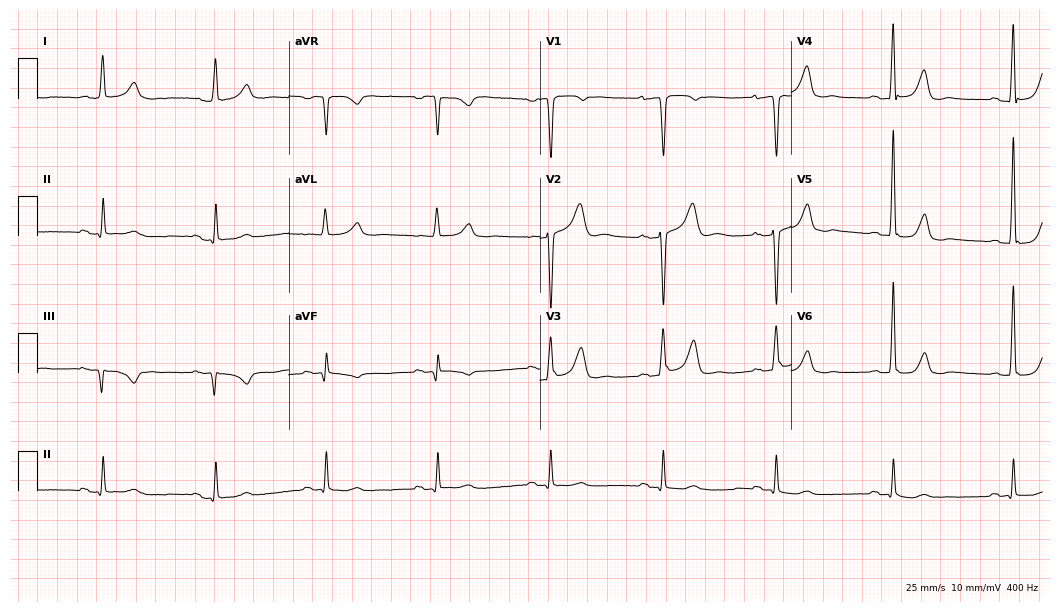
Electrocardiogram (10.2-second recording at 400 Hz), a male patient, 81 years old. Of the six screened findings (first-degree AV block, right bundle branch block, left bundle branch block, sinus bradycardia, atrial fibrillation, sinus tachycardia), none is recorded.